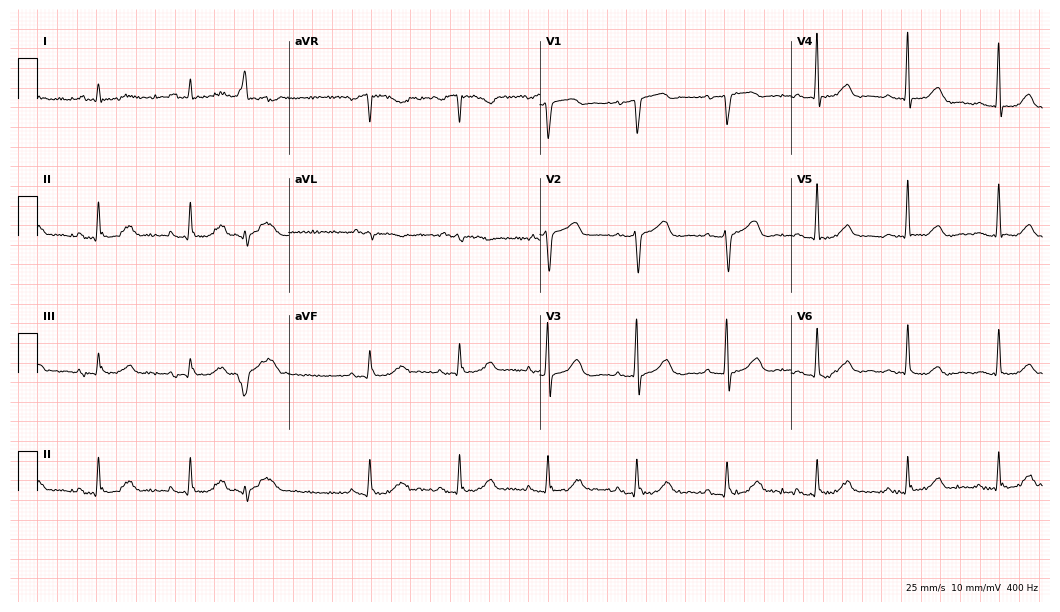
12-lead ECG from a female, 82 years old (10.2-second recording at 400 Hz). Recorded interpretation: within normal limits.